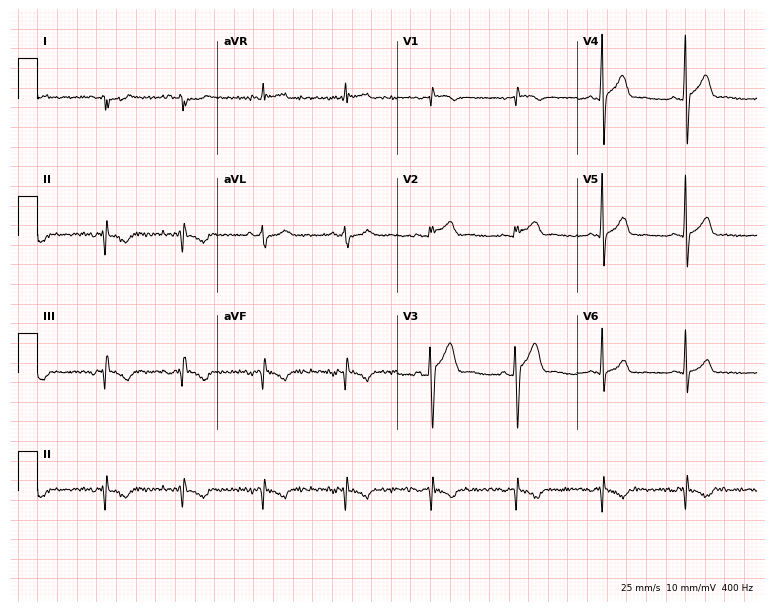
Electrocardiogram (7.3-second recording at 400 Hz), a 22-year-old man. Of the six screened findings (first-degree AV block, right bundle branch block, left bundle branch block, sinus bradycardia, atrial fibrillation, sinus tachycardia), none is recorded.